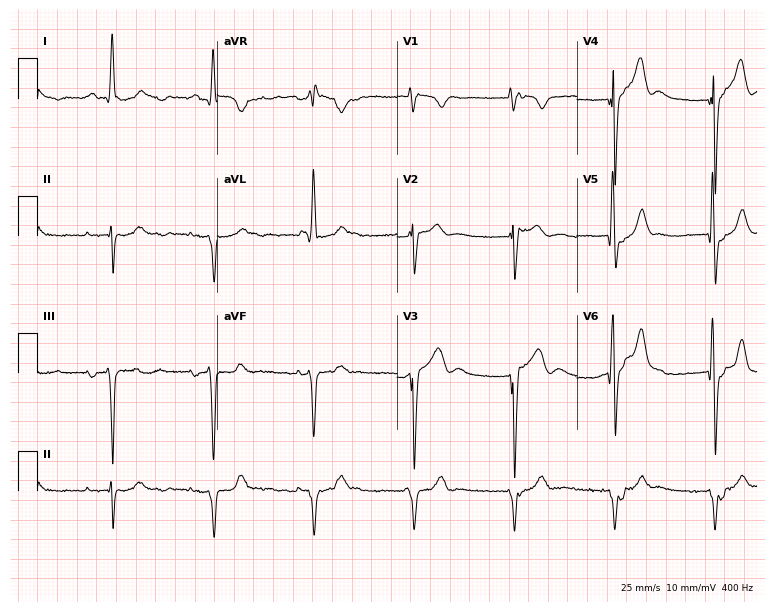
ECG — a male, 74 years old. Screened for six findings — first-degree AV block, right bundle branch block (RBBB), left bundle branch block (LBBB), sinus bradycardia, atrial fibrillation (AF), sinus tachycardia — none is recorded. Other findings, if any, are not listed.